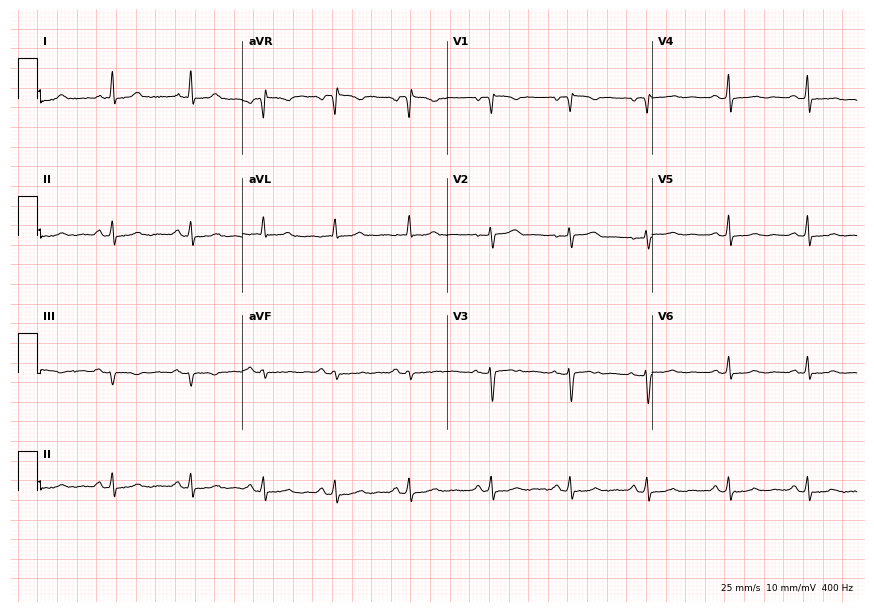
Standard 12-lead ECG recorded from a 41-year-old female (8.4-second recording at 400 Hz). None of these six findings is recorded: first-degree AV block, right bundle branch block (RBBB), left bundle branch block (LBBB), sinus bradycardia, atrial fibrillation (AF), sinus tachycardia.